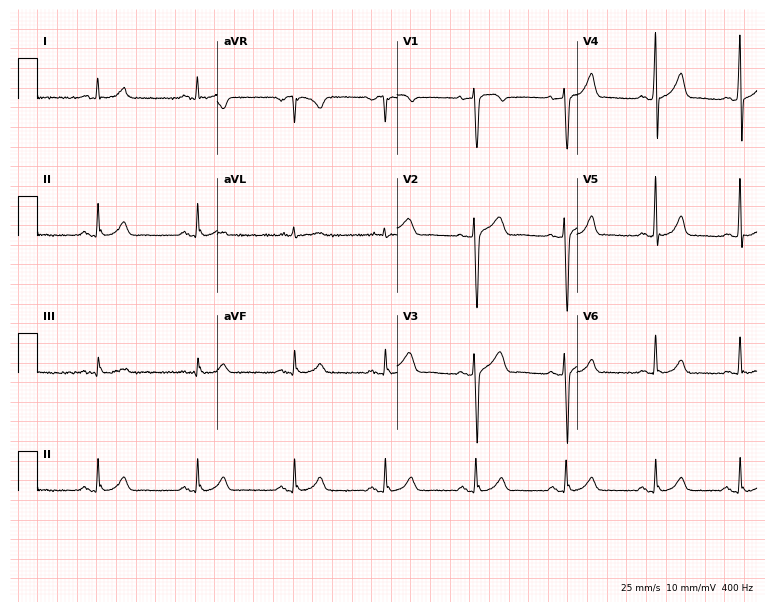
12-lead ECG from a male, 43 years old (7.3-second recording at 400 Hz). No first-degree AV block, right bundle branch block, left bundle branch block, sinus bradycardia, atrial fibrillation or sinus tachycardia recorded for this tracing. Only these six findings were labelled.